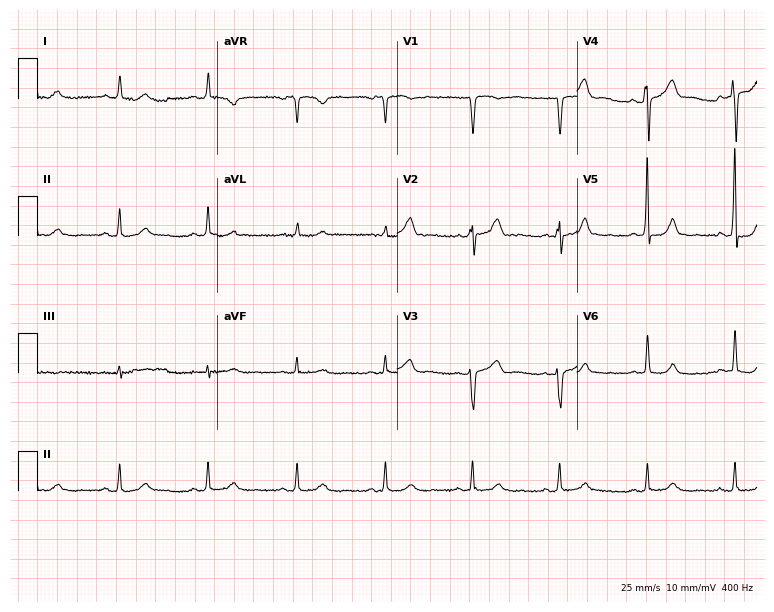
ECG (7.3-second recording at 400 Hz) — a male, 76 years old. Labelled as a normal ECG.